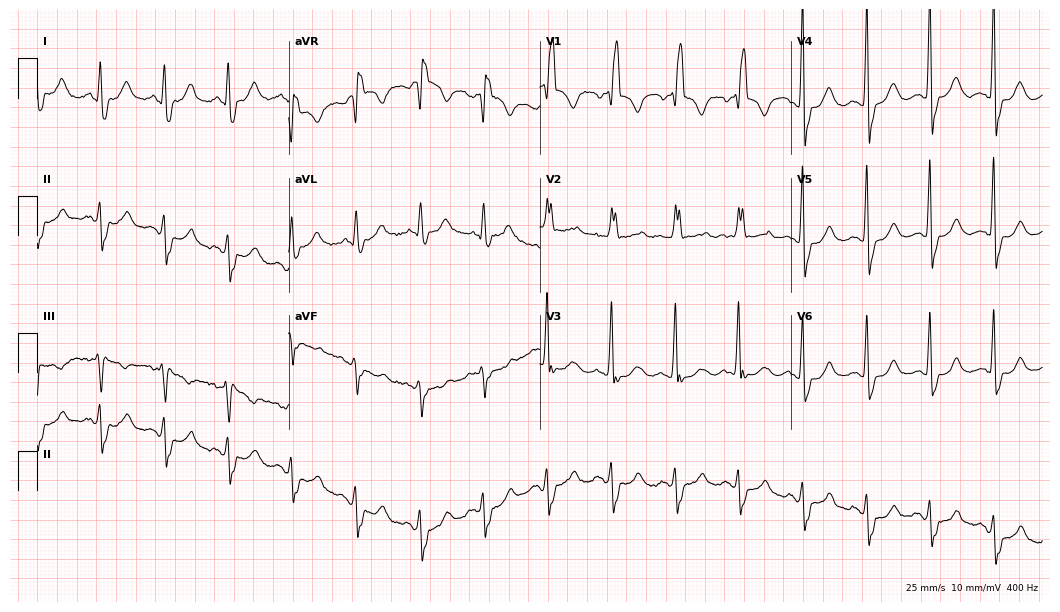
12-lead ECG from a 66-year-old female. Shows right bundle branch block.